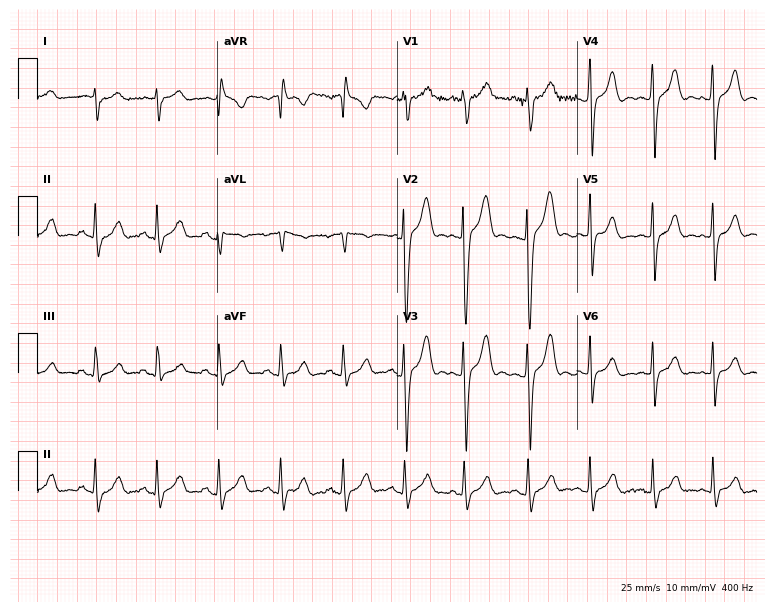
Standard 12-lead ECG recorded from a 20-year-old male patient (7.3-second recording at 400 Hz). None of these six findings is recorded: first-degree AV block, right bundle branch block, left bundle branch block, sinus bradycardia, atrial fibrillation, sinus tachycardia. Other findings, if any, are not listed.